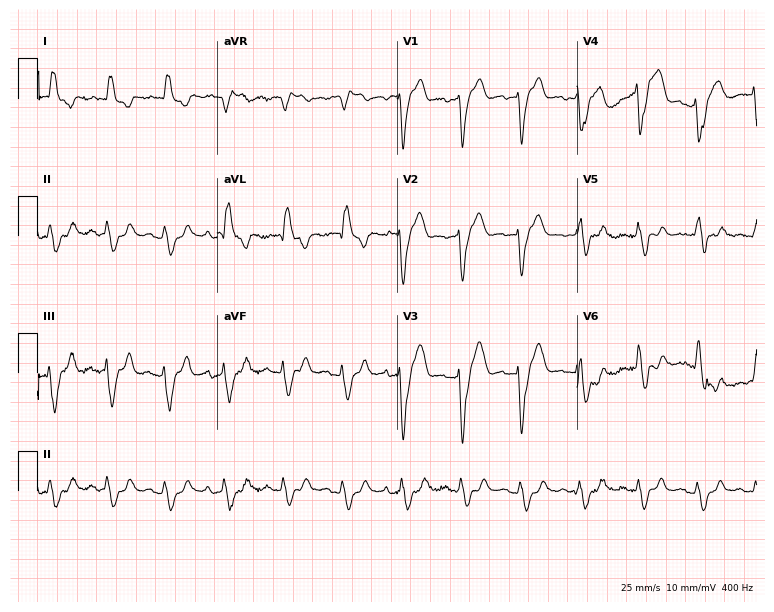
Resting 12-lead electrocardiogram. Patient: an 84-year-old male. The tracing shows left bundle branch block, sinus tachycardia (a sinus rate of 100 beats per minute or more).